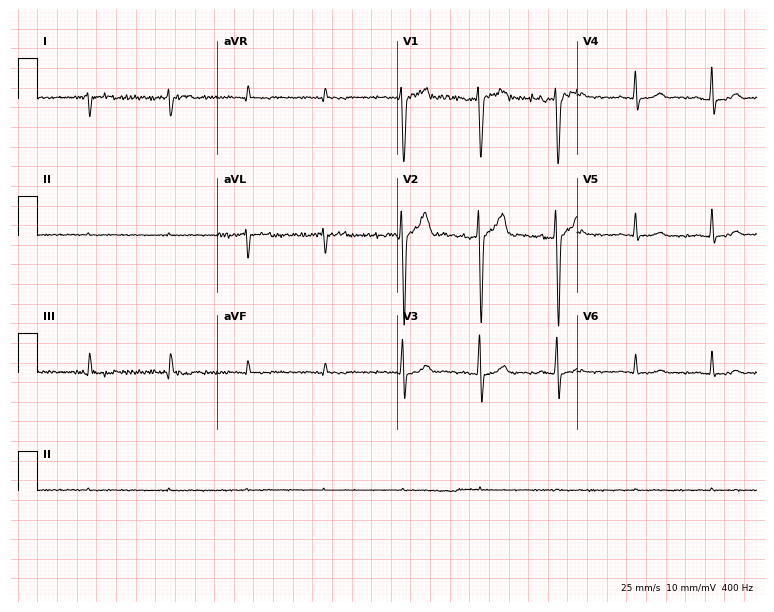
Resting 12-lead electrocardiogram. Patient: a 38-year-old man. None of these six findings is recorded: first-degree AV block, right bundle branch block, left bundle branch block, sinus bradycardia, atrial fibrillation, sinus tachycardia.